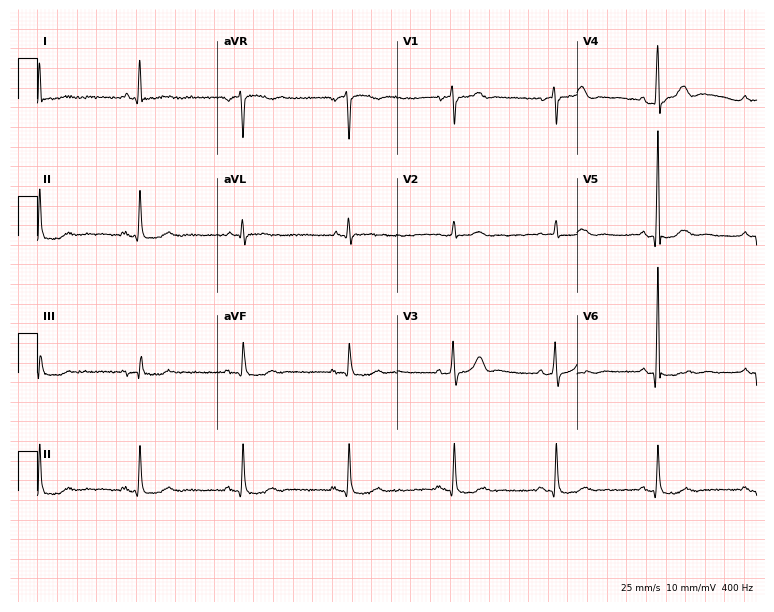
Resting 12-lead electrocardiogram. Patient: a 60-year-old male. Read as a normal ECG.